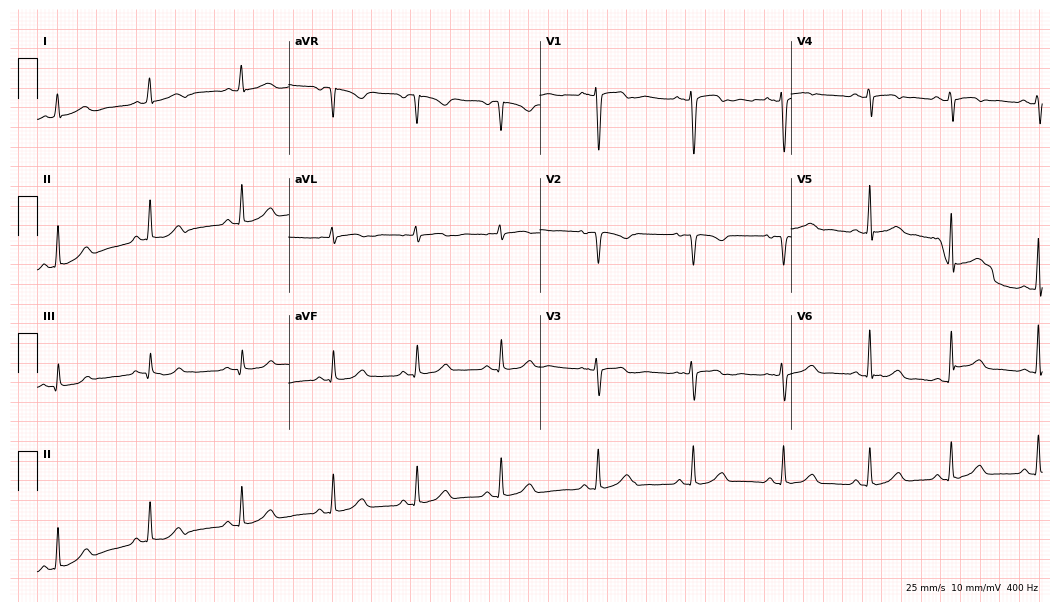
Standard 12-lead ECG recorded from a 26-year-old female. None of these six findings is recorded: first-degree AV block, right bundle branch block, left bundle branch block, sinus bradycardia, atrial fibrillation, sinus tachycardia.